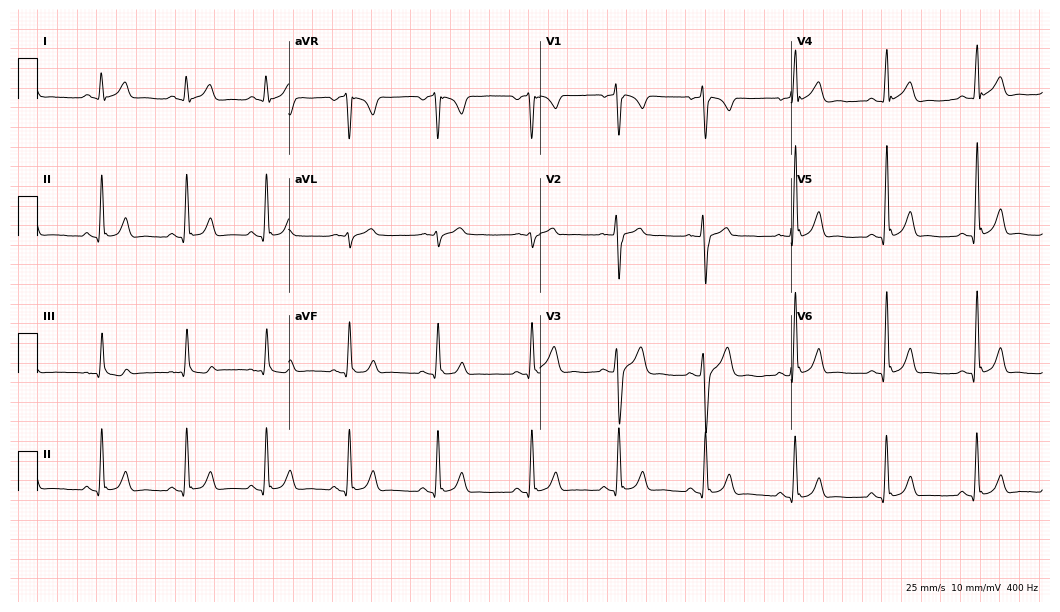
12-lead ECG from a male, 28 years old. Screened for six findings — first-degree AV block, right bundle branch block, left bundle branch block, sinus bradycardia, atrial fibrillation, sinus tachycardia — none is recorded. Findings outside these six are not listed.